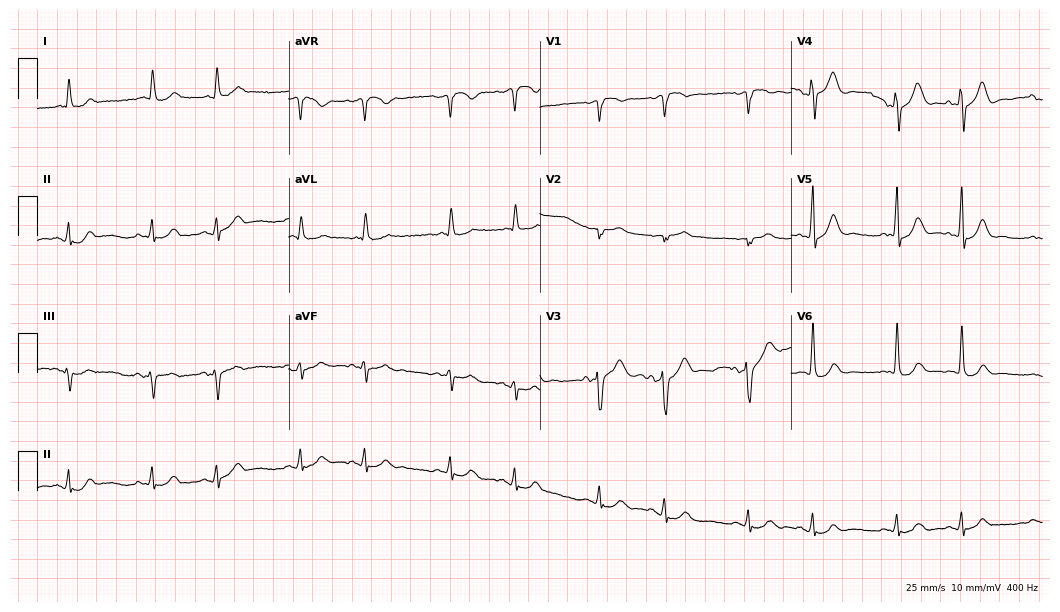
12-lead ECG from a male patient, 83 years old. No first-degree AV block, right bundle branch block, left bundle branch block, sinus bradycardia, atrial fibrillation or sinus tachycardia recorded for this tracing.